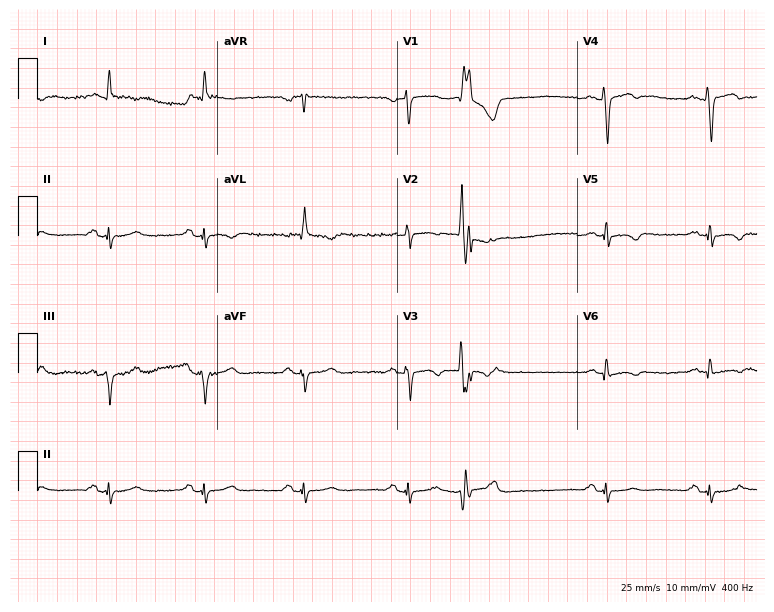
12-lead ECG from a 62-year-old male patient. No first-degree AV block, right bundle branch block (RBBB), left bundle branch block (LBBB), sinus bradycardia, atrial fibrillation (AF) or sinus tachycardia recorded for this tracing.